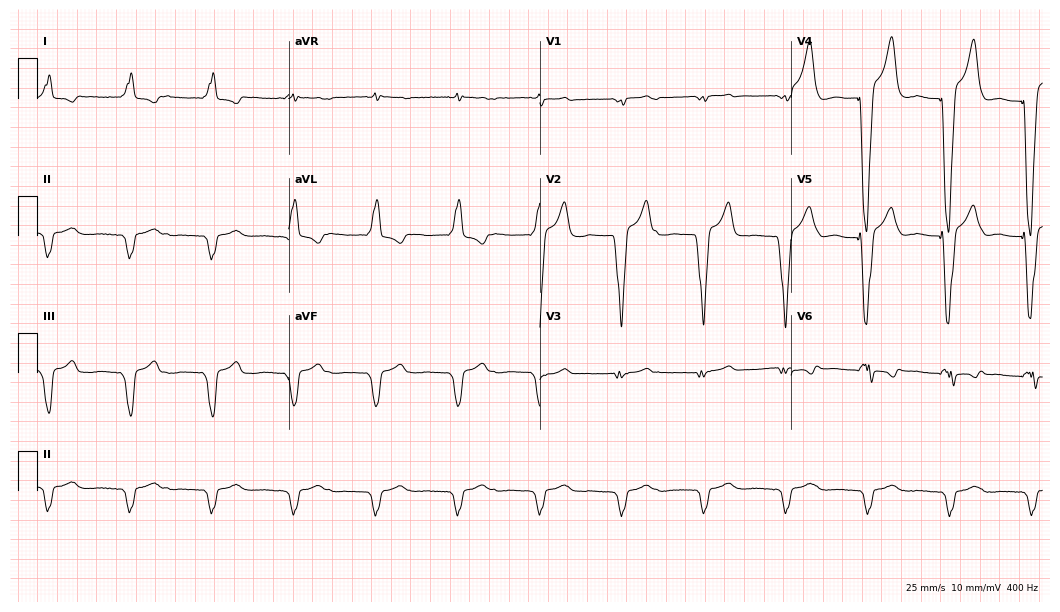
12-lead ECG (10.2-second recording at 400 Hz) from a male, 62 years old. Screened for six findings — first-degree AV block, right bundle branch block (RBBB), left bundle branch block (LBBB), sinus bradycardia, atrial fibrillation (AF), sinus tachycardia — none is recorded. Other findings, if any, are not listed.